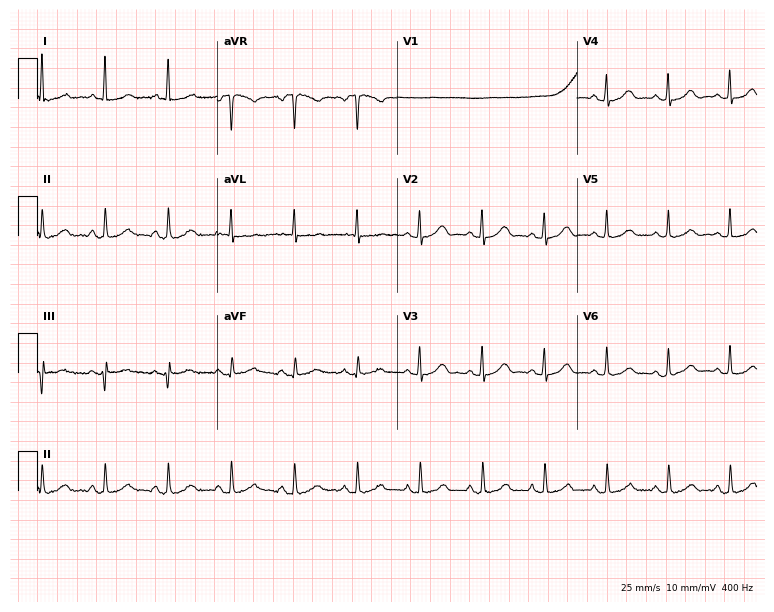
Resting 12-lead electrocardiogram (7.3-second recording at 400 Hz). Patient: a female, 67 years old. None of these six findings is recorded: first-degree AV block, right bundle branch block, left bundle branch block, sinus bradycardia, atrial fibrillation, sinus tachycardia.